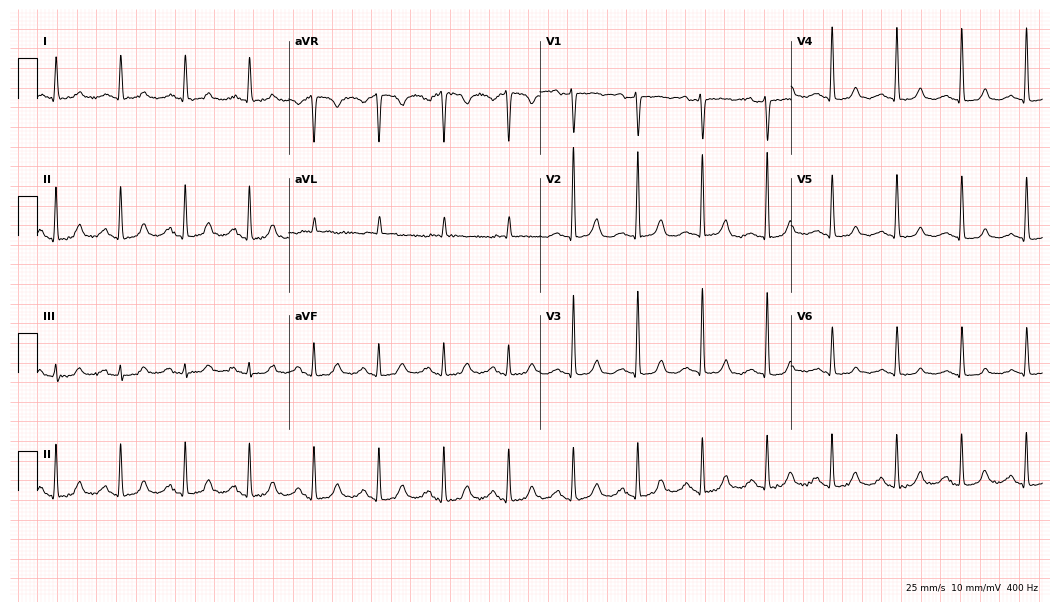
Resting 12-lead electrocardiogram (10.2-second recording at 400 Hz). Patient: a woman, 75 years old. None of these six findings is recorded: first-degree AV block, right bundle branch block, left bundle branch block, sinus bradycardia, atrial fibrillation, sinus tachycardia.